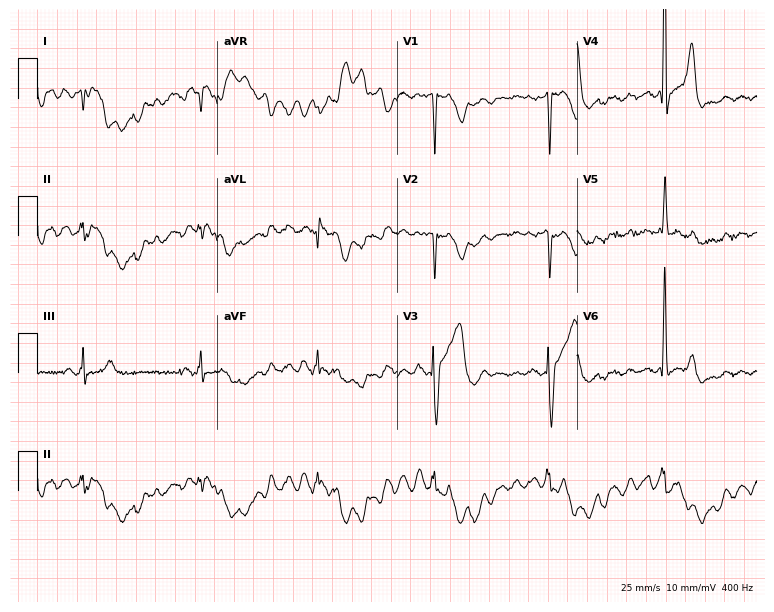
Resting 12-lead electrocardiogram. Patient: a male, 81 years old. None of these six findings is recorded: first-degree AV block, right bundle branch block, left bundle branch block, sinus bradycardia, atrial fibrillation, sinus tachycardia.